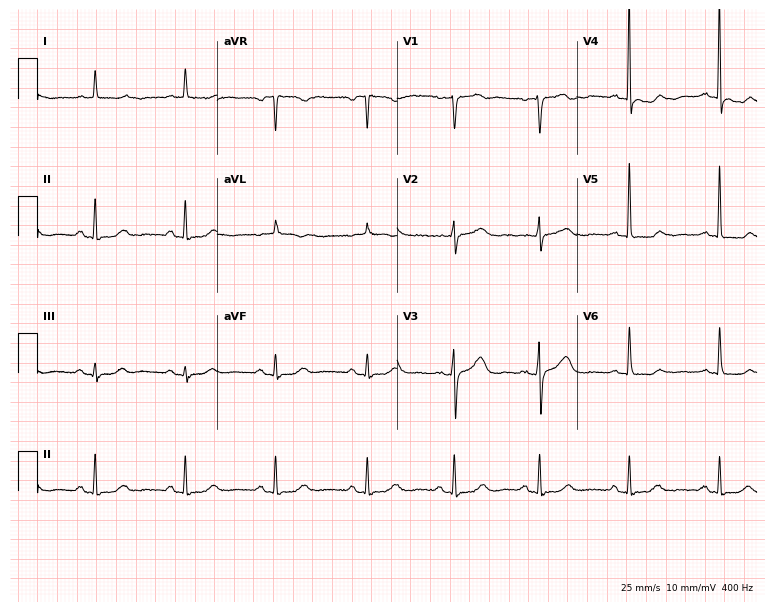
Electrocardiogram, a female patient, 74 years old. Of the six screened findings (first-degree AV block, right bundle branch block, left bundle branch block, sinus bradycardia, atrial fibrillation, sinus tachycardia), none is recorded. Findings outside these six are not listed.